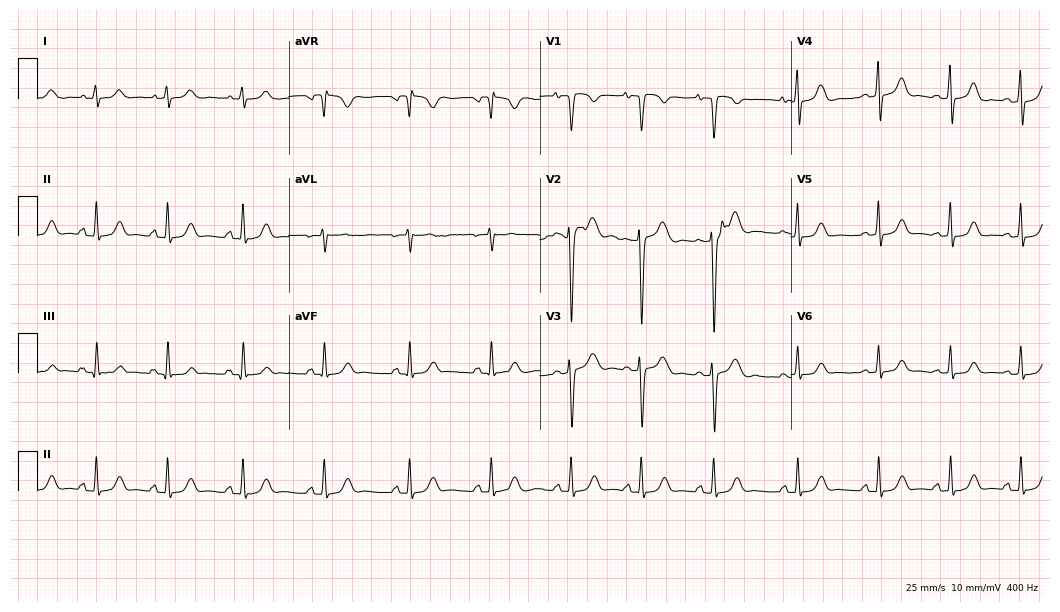
12-lead ECG (10.2-second recording at 400 Hz) from a female, 23 years old. Screened for six findings — first-degree AV block, right bundle branch block, left bundle branch block, sinus bradycardia, atrial fibrillation, sinus tachycardia — none is recorded. Findings outside these six are not listed.